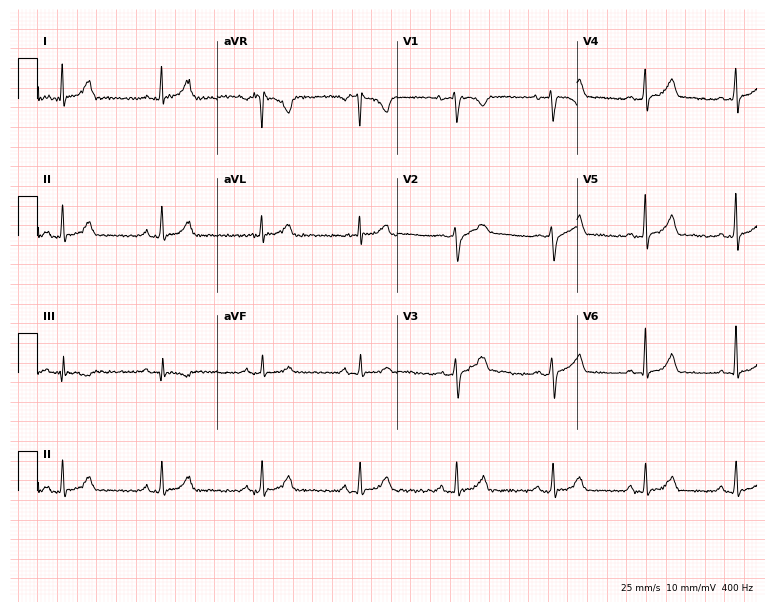
12-lead ECG from a 31-year-old male. Labelled as a normal ECG.